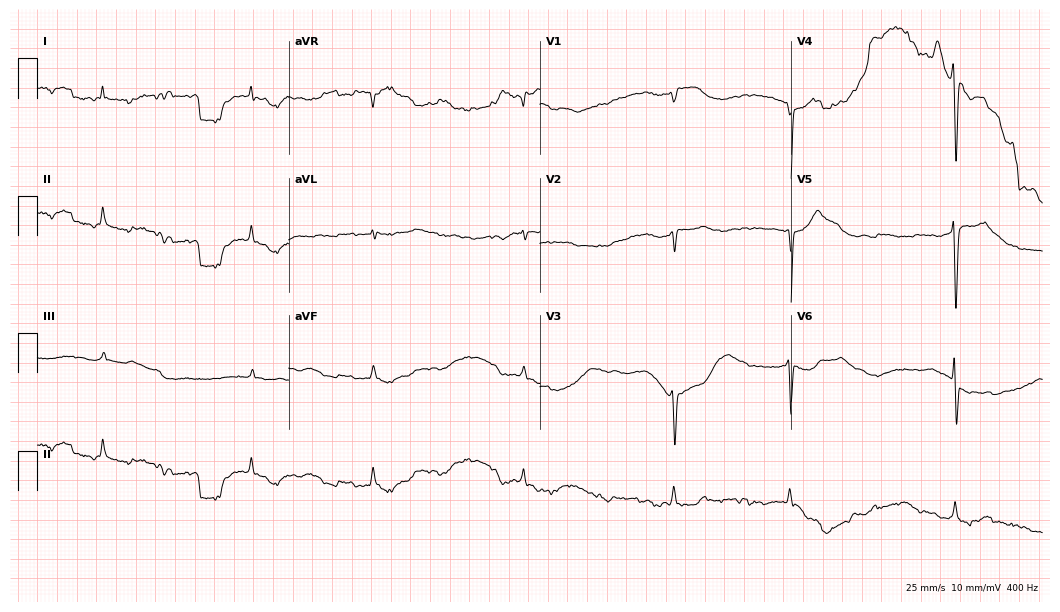
Resting 12-lead electrocardiogram. Patient: an 83-year-old female. None of these six findings is recorded: first-degree AV block, right bundle branch block, left bundle branch block, sinus bradycardia, atrial fibrillation, sinus tachycardia.